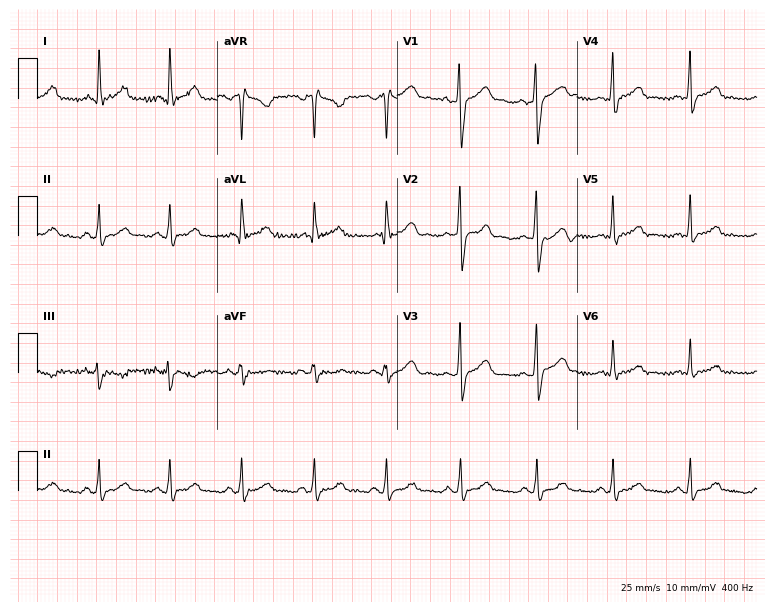
12-lead ECG from a male patient, 42 years old. Labelled as a normal ECG.